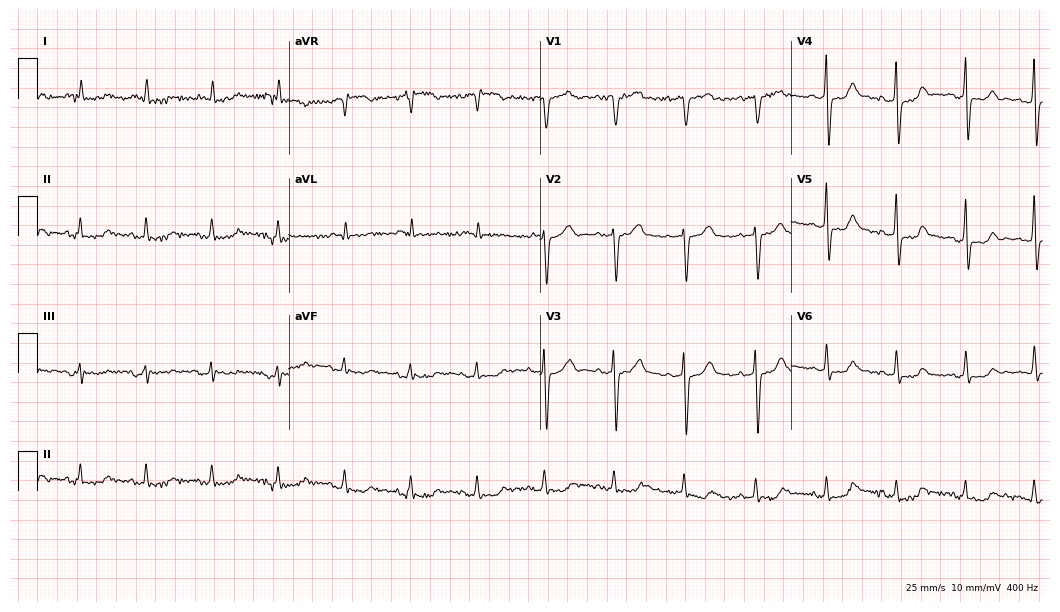
ECG — a female, 71 years old. Screened for six findings — first-degree AV block, right bundle branch block (RBBB), left bundle branch block (LBBB), sinus bradycardia, atrial fibrillation (AF), sinus tachycardia — none is recorded. Only these six findings were labelled.